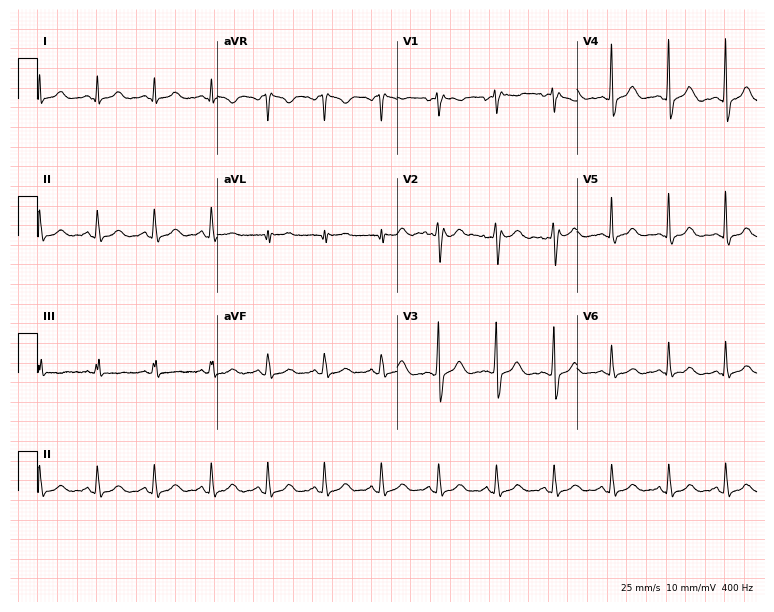
12-lead ECG from a 47-year-old female (7.3-second recording at 400 Hz). Shows sinus tachycardia (a sinus rate of 100 beats per minute or more).